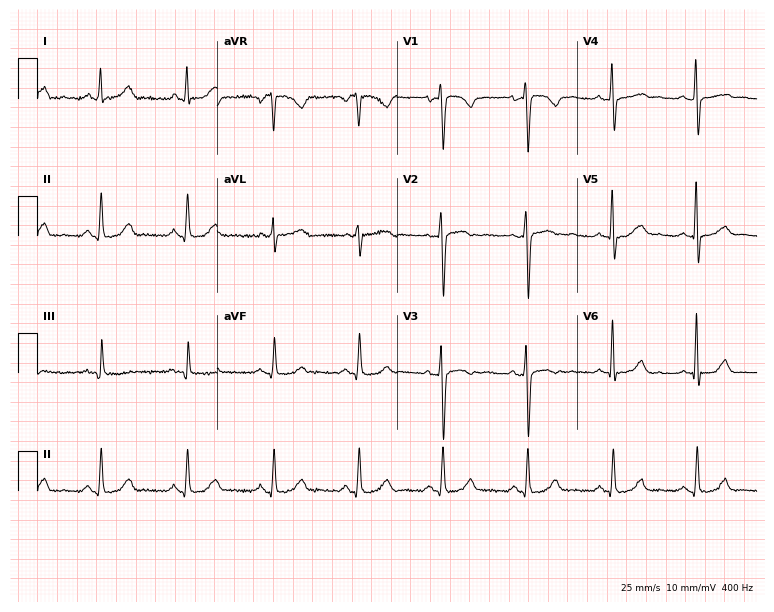
Resting 12-lead electrocardiogram (7.3-second recording at 400 Hz). Patient: a female, 54 years old. None of these six findings is recorded: first-degree AV block, right bundle branch block, left bundle branch block, sinus bradycardia, atrial fibrillation, sinus tachycardia. Only these six findings were labelled.